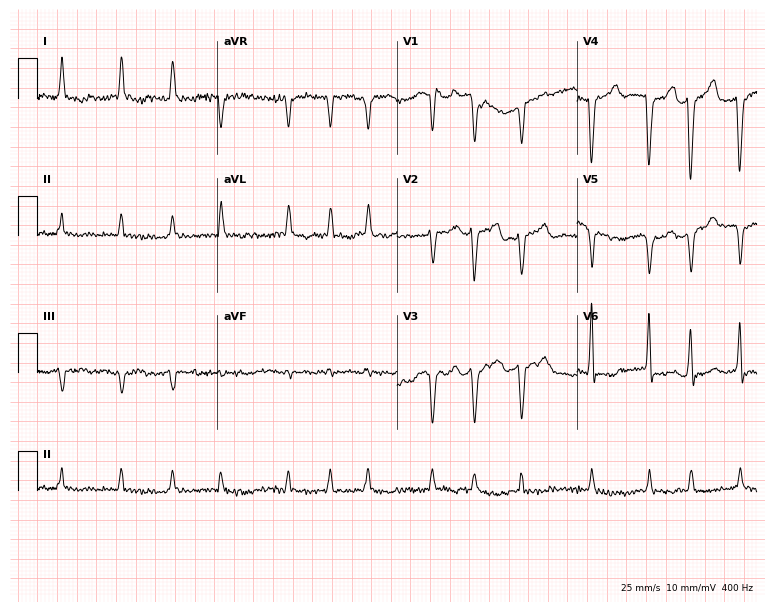
Standard 12-lead ECG recorded from an 83-year-old female (7.3-second recording at 400 Hz). The tracing shows atrial fibrillation.